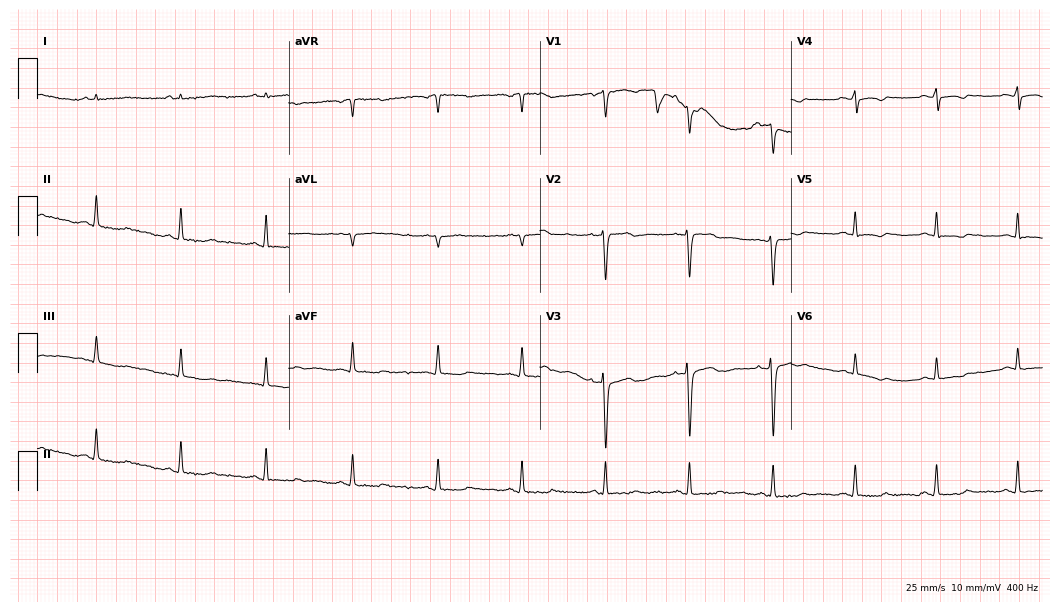
12-lead ECG from a woman, 64 years old. No first-degree AV block, right bundle branch block (RBBB), left bundle branch block (LBBB), sinus bradycardia, atrial fibrillation (AF) or sinus tachycardia recorded for this tracing. Findings outside these six are not listed.